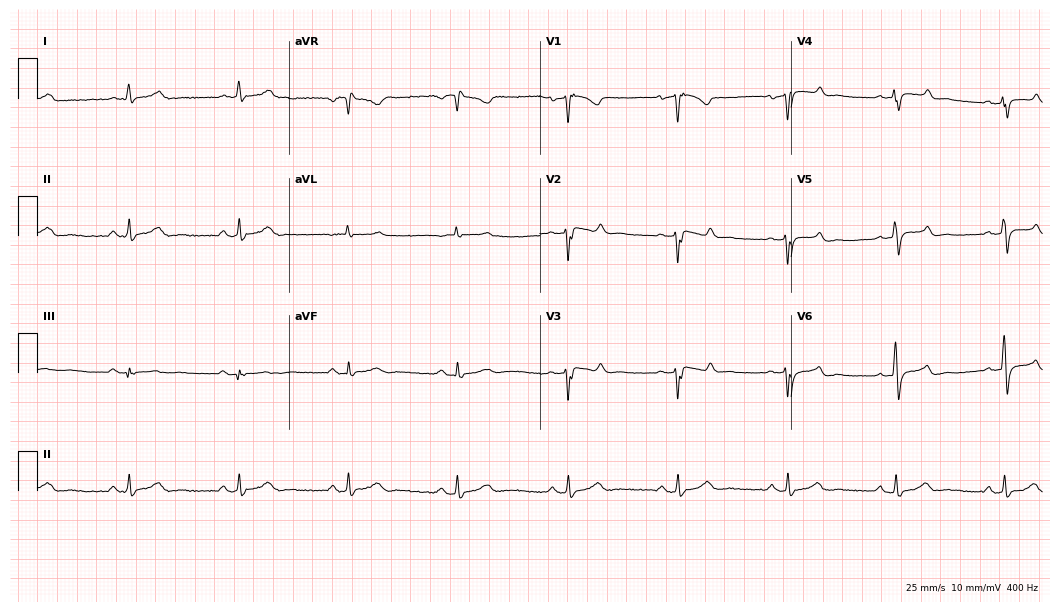
Standard 12-lead ECG recorded from a 57-year-old male (10.2-second recording at 400 Hz). None of these six findings is recorded: first-degree AV block, right bundle branch block (RBBB), left bundle branch block (LBBB), sinus bradycardia, atrial fibrillation (AF), sinus tachycardia.